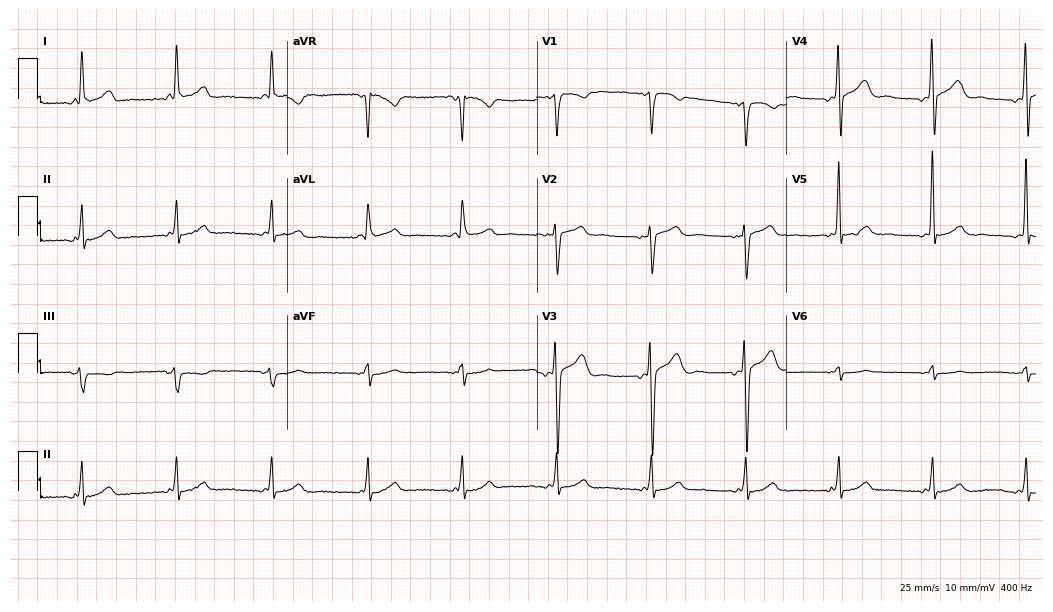
Electrocardiogram (10.2-second recording at 400 Hz), a 51-year-old male. Of the six screened findings (first-degree AV block, right bundle branch block (RBBB), left bundle branch block (LBBB), sinus bradycardia, atrial fibrillation (AF), sinus tachycardia), none is recorded. Only these six findings were labelled.